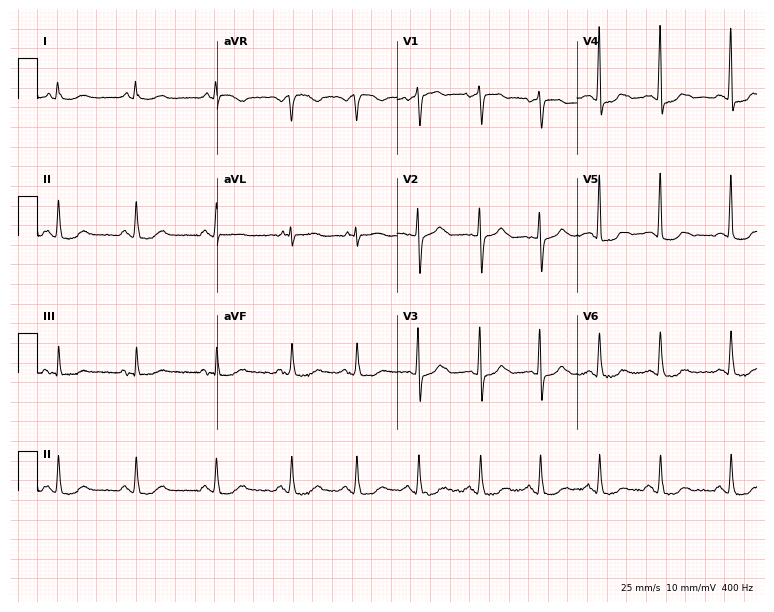
Resting 12-lead electrocardiogram. Patient: a female, 55 years old. None of these six findings is recorded: first-degree AV block, right bundle branch block (RBBB), left bundle branch block (LBBB), sinus bradycardia, atrial fibrillation (AF), sinus tachycardia. Findings outside these six are not listed.